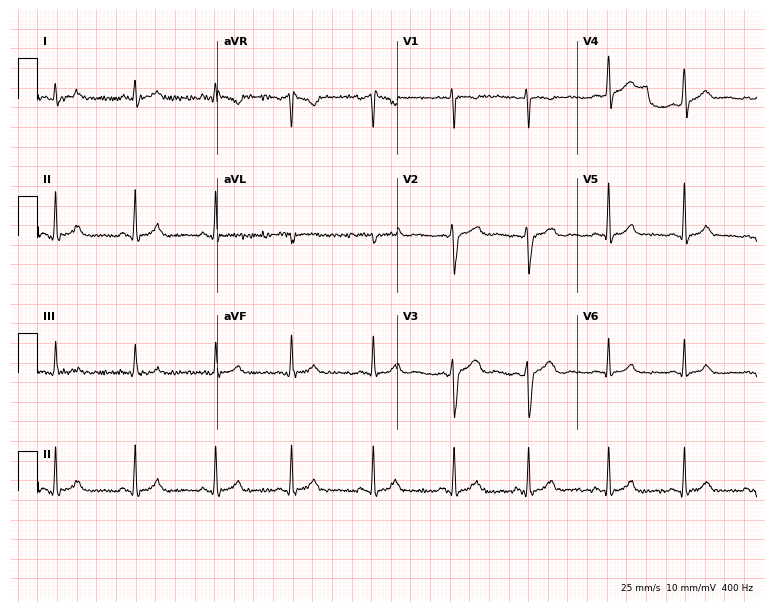
12-lead ECG from a woman, 26 years old. Labelled as a normal ECG.